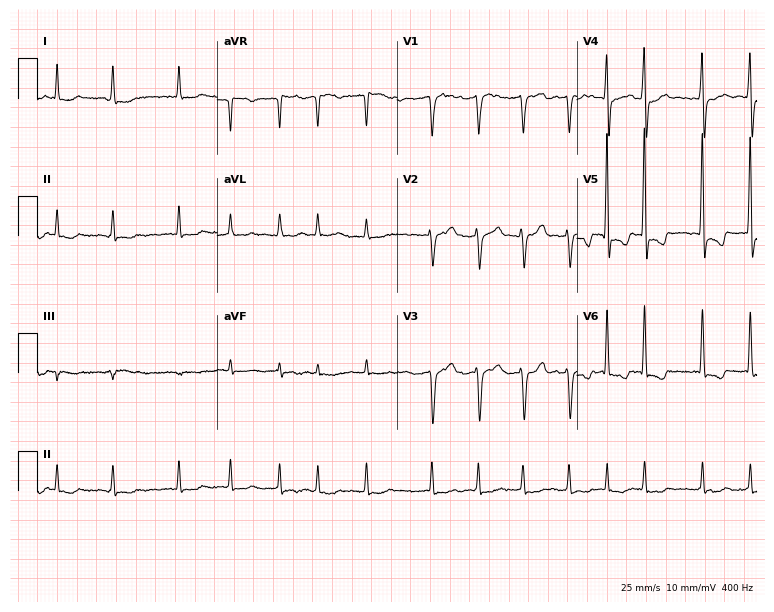
Standard 12-lead ECG recorded from a 73-year-old male patient (7.3-second recording at 400 Hz). The tracing shows atrial fibrillation.